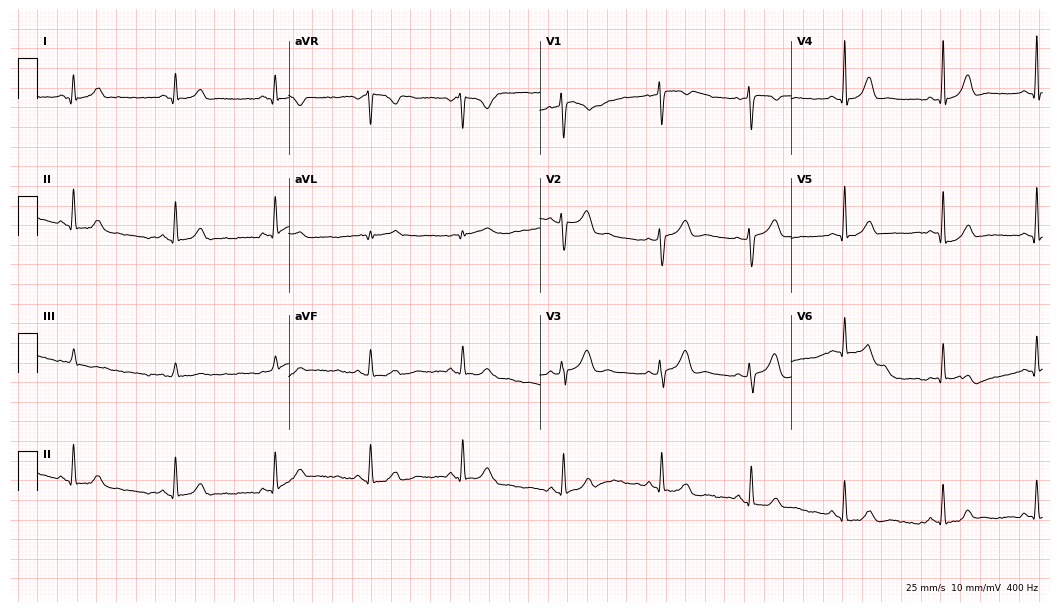
ECG — a 31-year-old female. Labelled as a normal ECG.